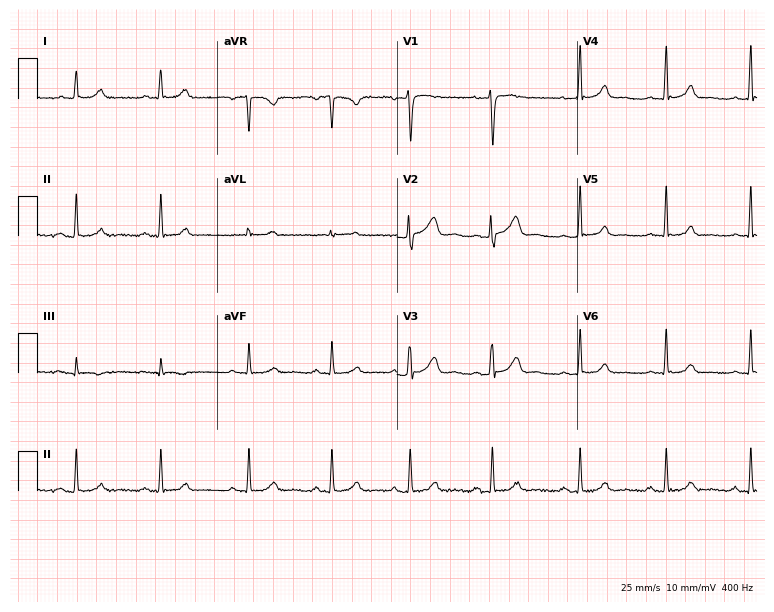
Resting 12-lead electrocardiogram. Patient: a 41-year-old female. Read as a normal ECG.